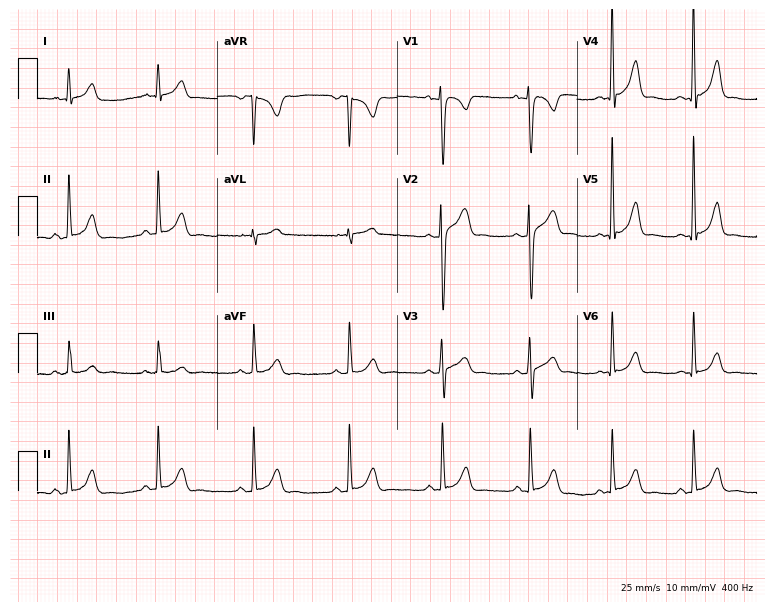
12-lead ECG from an 18-year-old female patient (7.3-second recording at 400 Hz). Recorded interpretation: within normal limits.